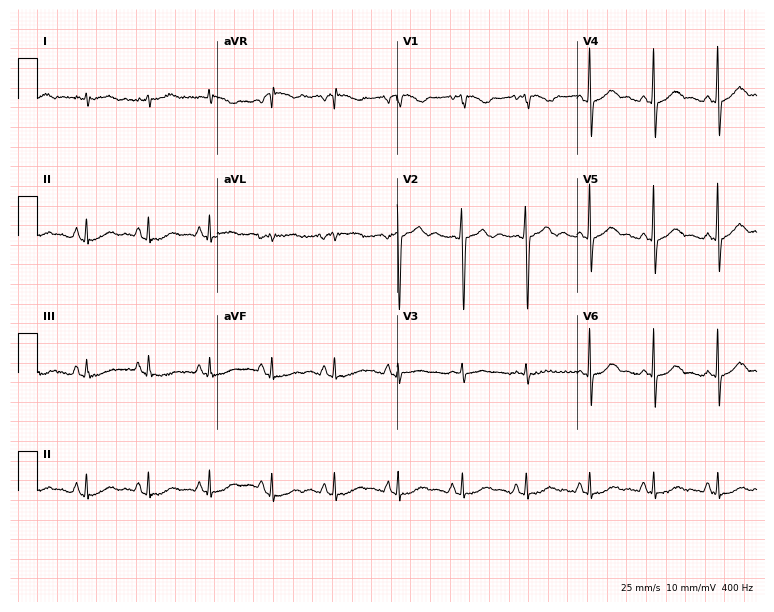
ECG (7.3-second recording at 400 Hz) — a 72-year-old female. Labelled as a normal ECG.